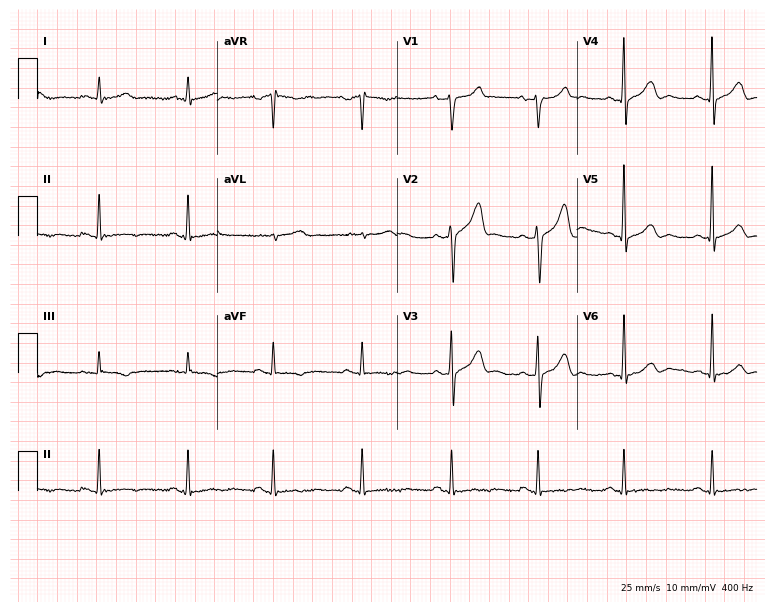
12-lead ECG (7.3-second recording at 400 Hz) from a 62-year-old male. Labelled as a normal ECG.